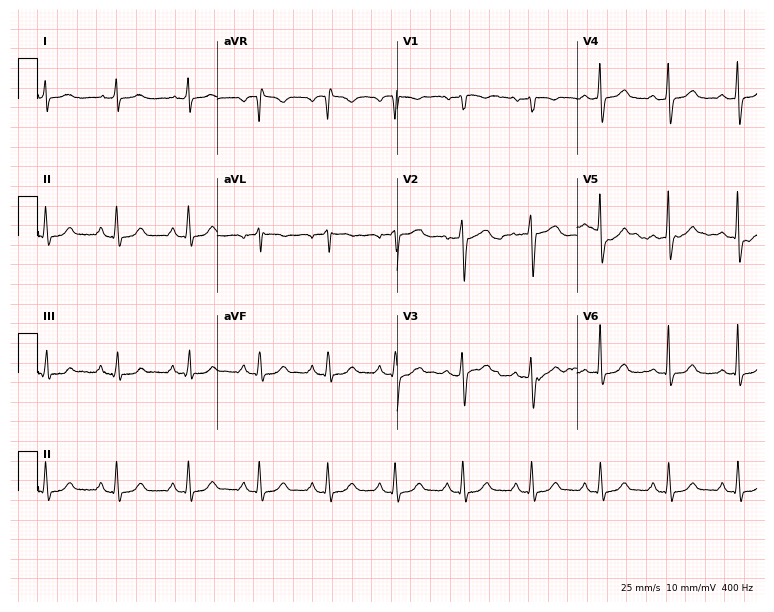
12-lead ECG from a female patient, 26 years old (7.3-second recording at 400 Hz). Recorded interpretation: within normal limits.